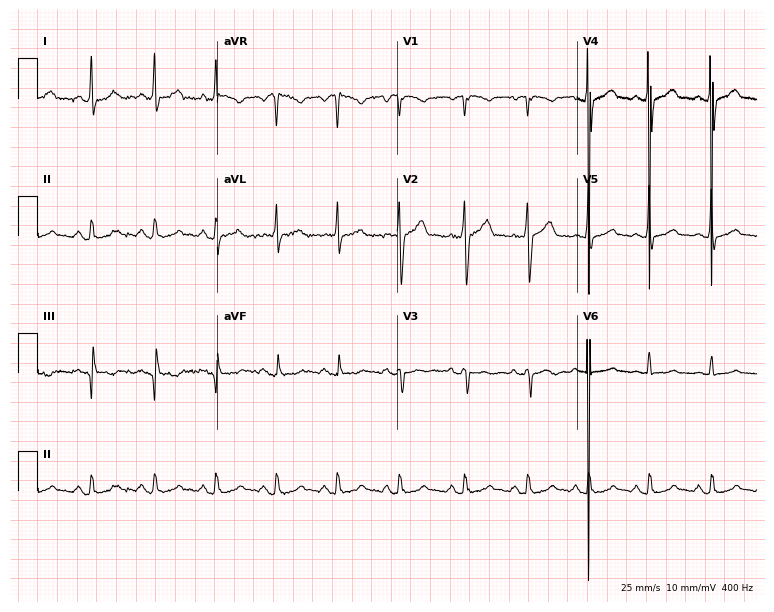
12-lead ECG from a 48-year-old woman. Screened for six findings — first-degree AV block, right bundle branch block, left bundle branch block, sinus bradycardia, atrial fibrillation, sinus tachycardia — none is recorded. Other findings, if any, are not listed.